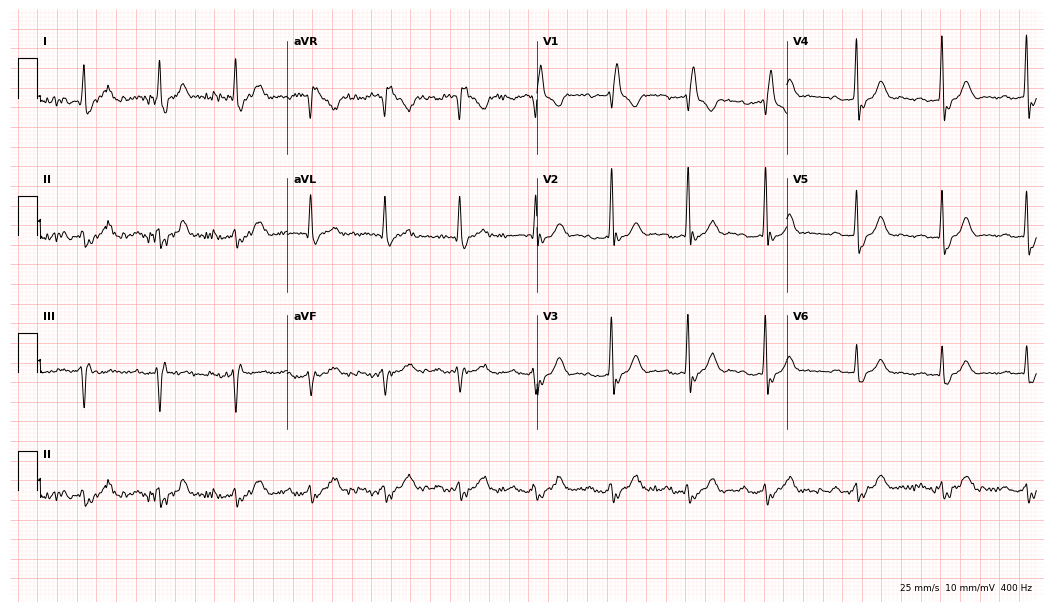
ECG — a male patient, 77 years old. Findings include first-degree AV block, right bundle branch block, atrial fibrillation.